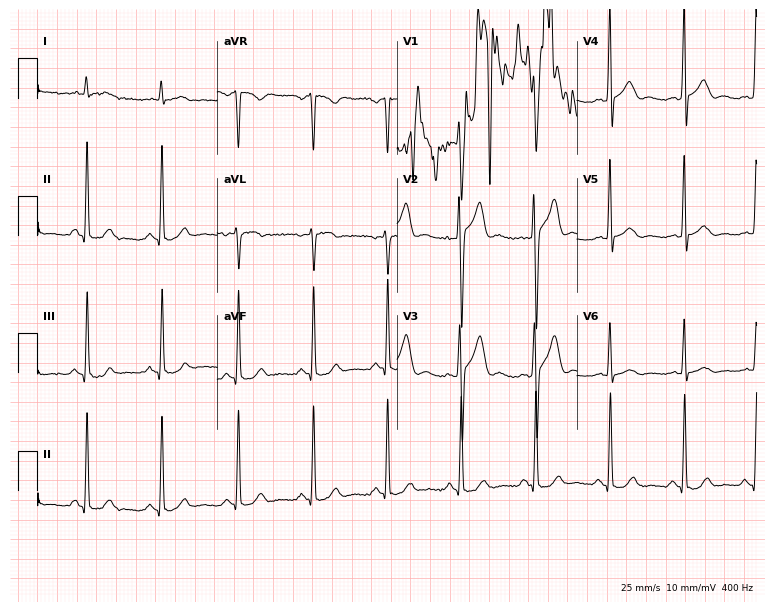
12-lead ECG from a man, 45 years old (7.3-second recording at 400 Hz). No first-degree AV block, right bundle branch block, left bundle branch block, sinus bradycardia, atrial fibrillation or sinus tachycardia recorded for this tracing. Other findings, if any, are not listed.